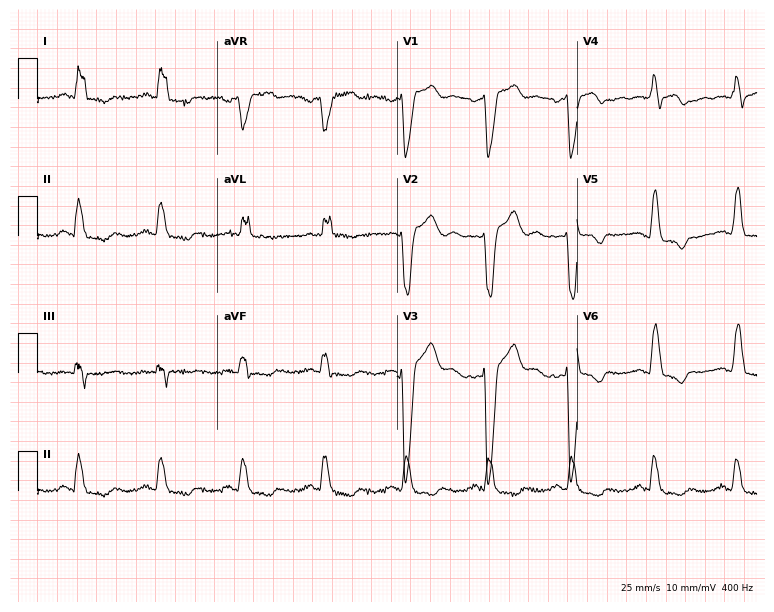
12-lead ECG from a 57-year-old man. Findings include left bundle branch block.